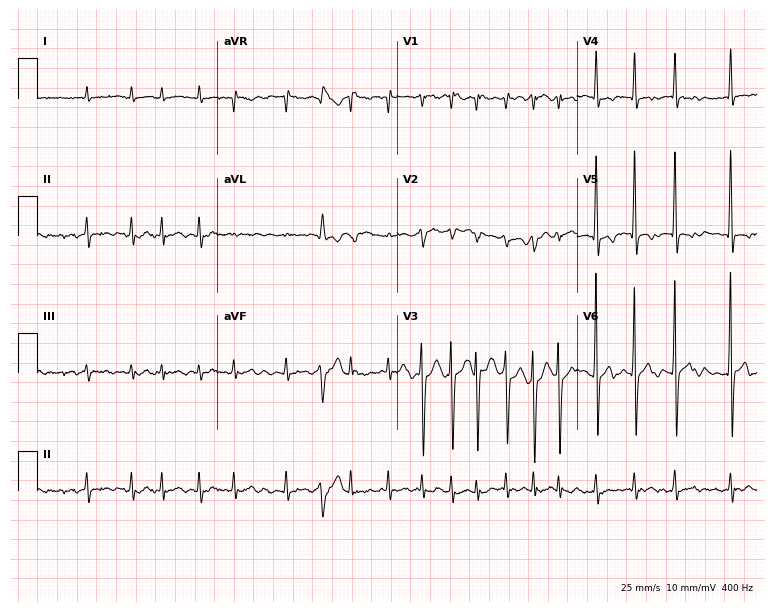
Standard 12-lead ECG recorded from a male, 82 years old. None of these six findings is recorded: first-degree AV block, right bundle branch block (RBBB), left bundle branch block (LBBB), sinus bradycardia, atrial fibrillation (AF), sinus tachycardia. Other findings, if any, are not listed.